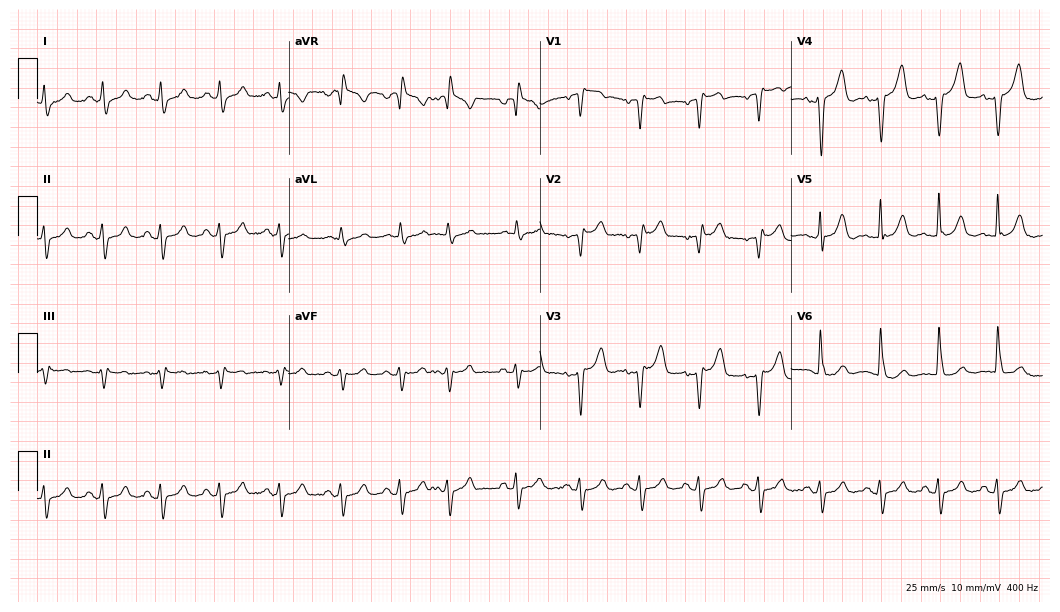
12-lead ECG from a female patient, 81 years old. No first-degree AV block, right bundle branch block (RBBB), left bundle branch block (LBBB), sinus bradycardia, atrial fibrillation (AF) or sinus tachycardia recorded for this tracing. Only these six findings were labelled.